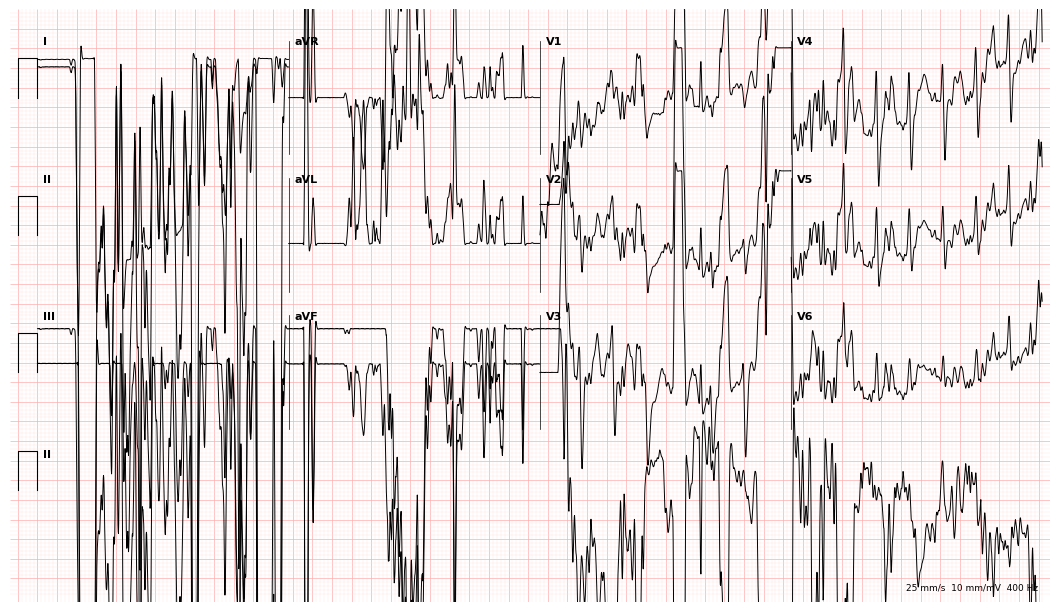
Resting 12-lead electrocardiogram (10.2-second recording at 400 Hz). Patient: an 80-year-old man. None of these six findings is recorded: first-degree AV block, right bundle branch block, left bundle branch block, sinus bradycardia, atrial fibrillation, sinus tachycardia. Only these six findings were labelled.